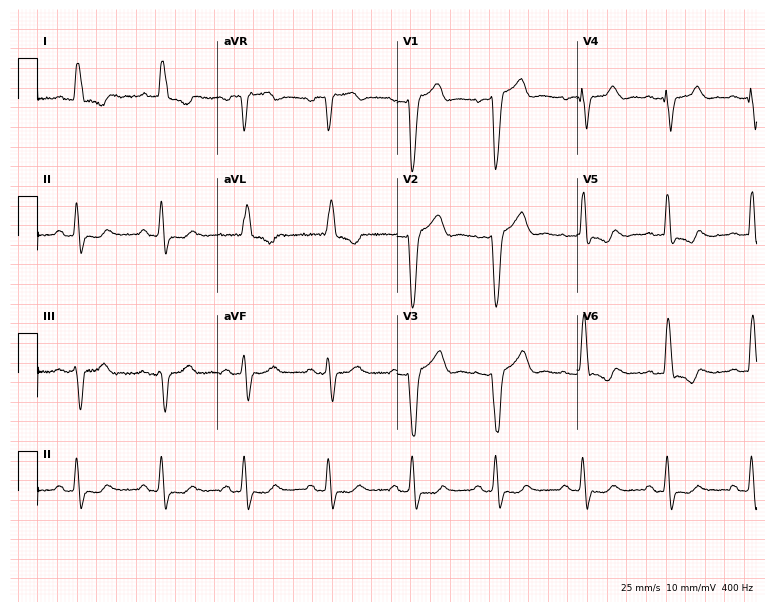
12-lead ECG from an 80-year-old female patient. Shows left bundle branch block.